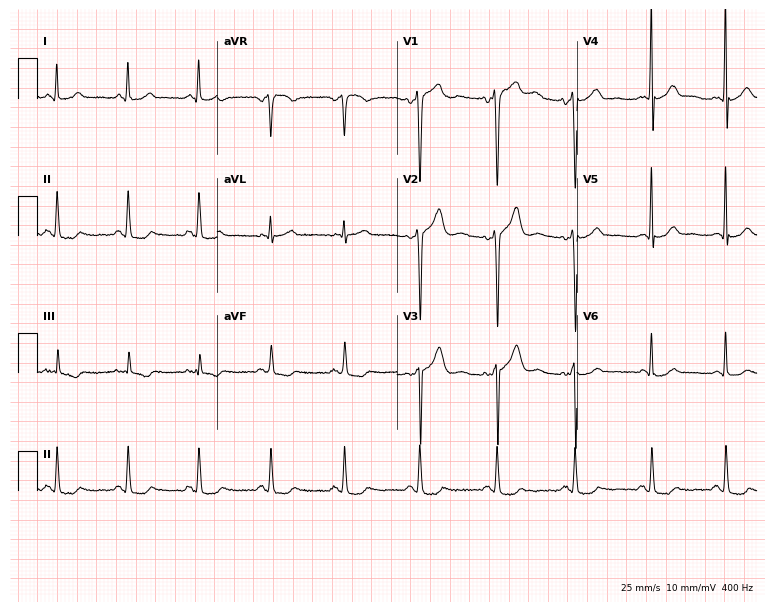
Resting 12-lead electrocardiogram. Patient: a male, 57 years old. None of these six findings is recorded: first-degree AV block, right bundle branch block, left bundle branch block, sinus bradycardia, atrial fibrillation, sinus tachycardia. Other findings, if any, are not listed.